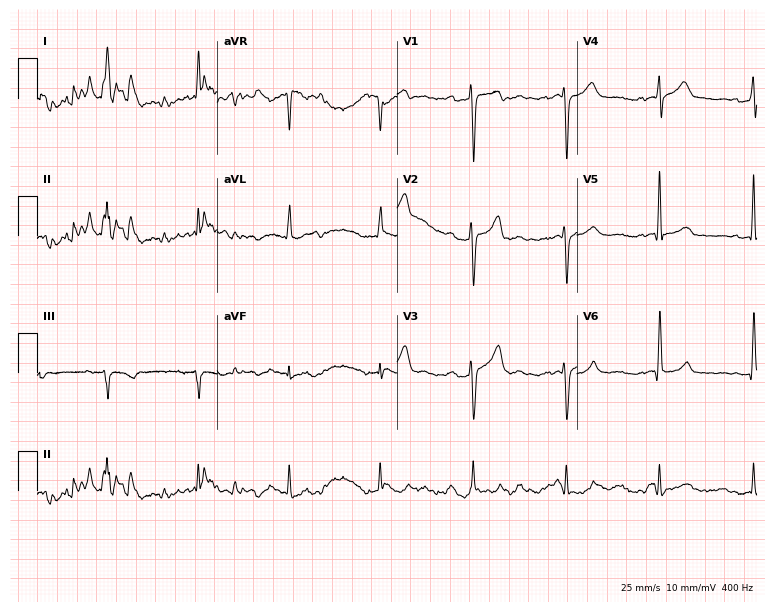
12-lead ECG from a male patient, 36 years old. Screened for six findings — first-degree AV block, right bundle branch block (RBBB), left bundle branch block (LBBB), sinus bradycardia, atrial fibrillation (AF), sinus tachycardia — none is recorded. Other findings, if any, are not listed.